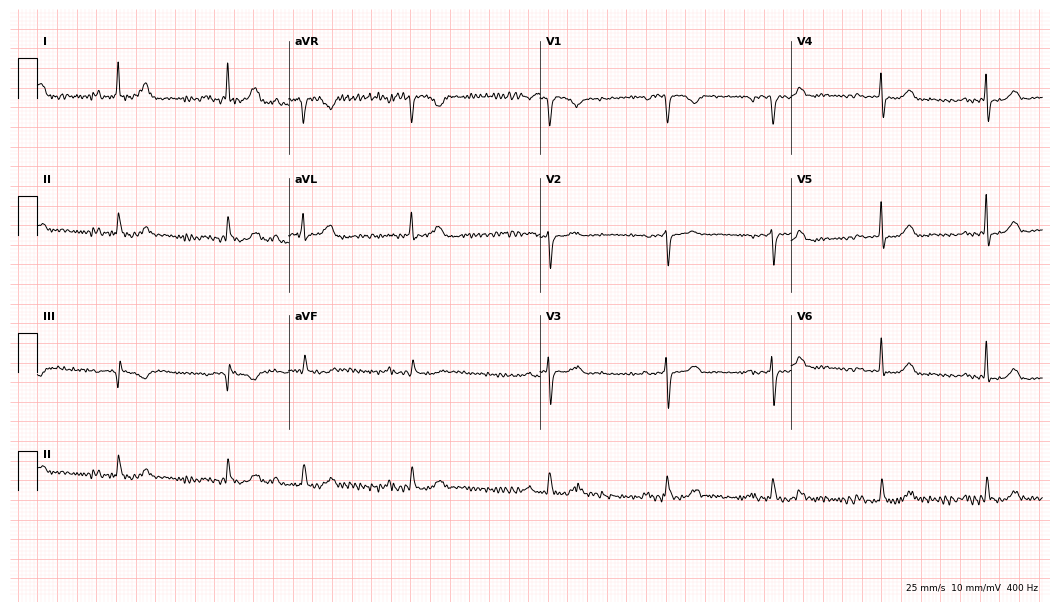
12-lead ECG from a 74-year-old female patient (10.2-second recording at 400 Hz). No first-degree AV block, right bundle branch block, left bundle branch block, sinus bradycardia, atrial fibrillation or sinus tachycardia recorded for this tracing.